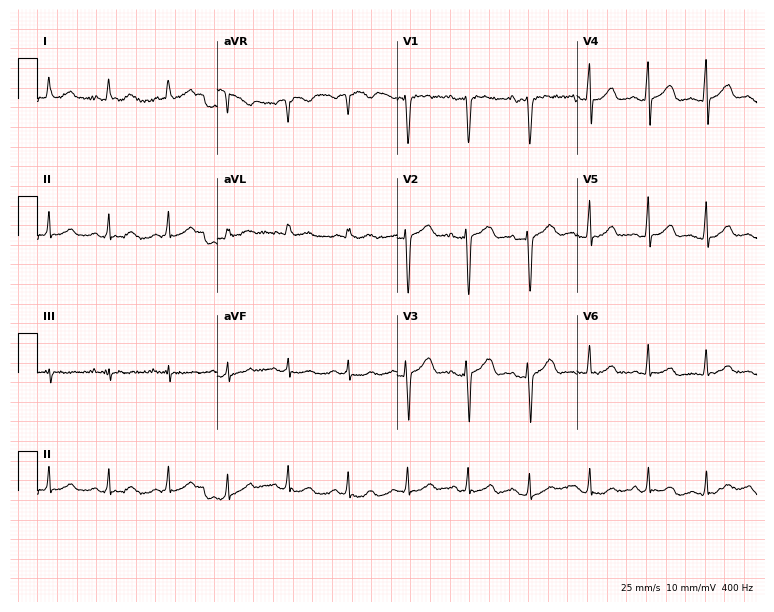
Standard 12-lead ECG recorded from a 17-year-old woman (7.3-second recording at 400 Hz). Read as a normal ECG.